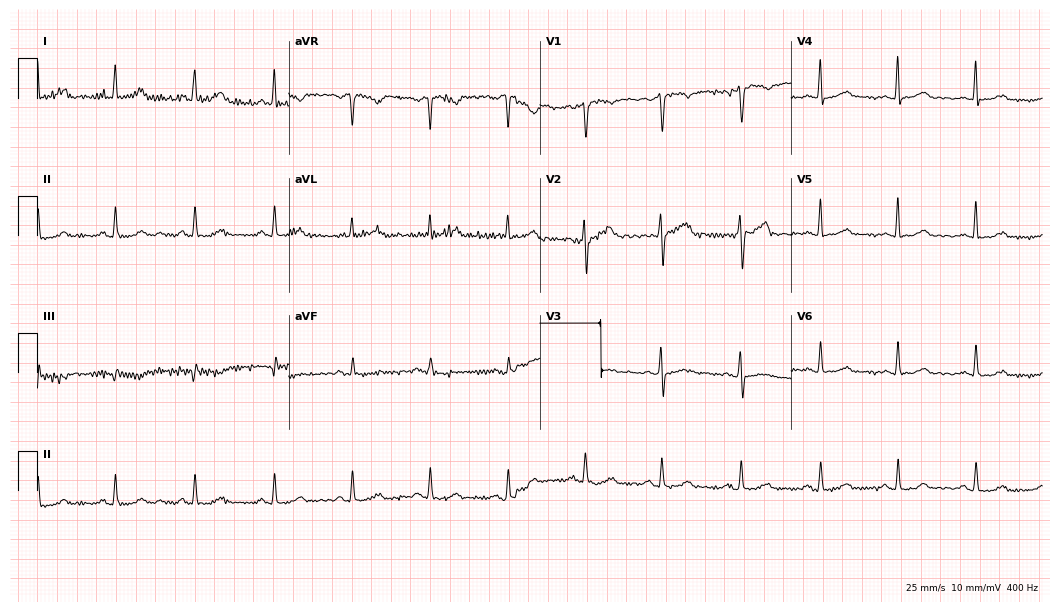
Resting 12-lead electrocardiogram (10.2-second recording at 400 Hz). Patient: a 42-year-old female. None of these six findings is recorded: first-degree AV block, right bundle branch block, left bundle branch block, sinus bradycardia, atrial fibrillation, sinus tachycardia. Only these six findings were labelled.